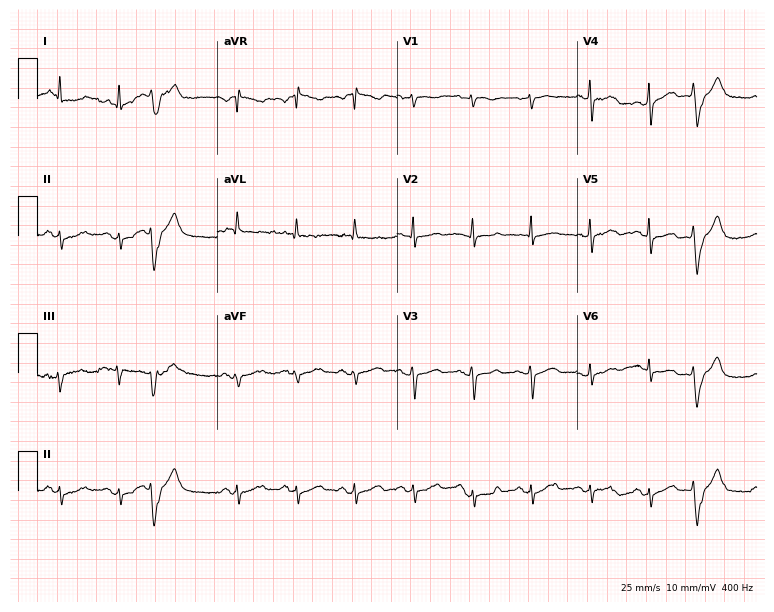
Electrocardiogram, a female patient, 84 years old. Of the six screened findings (first-degree AV block, right bundle branch block, left bundle branch block, sinus bradycardia, atrial fibrillation, sinus tachycardia), none is recorded.